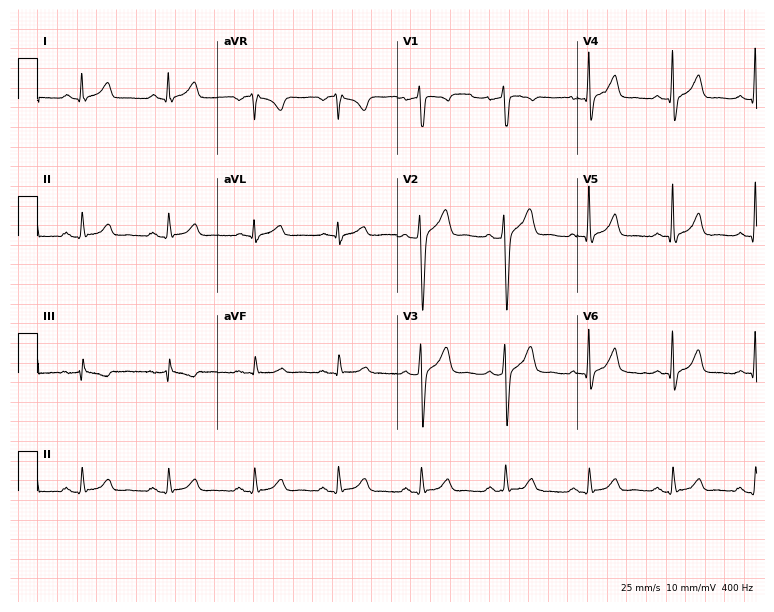
Resting 12-lead electrocardiogram. Patient: a 41-year-old male. Read as a normal ECG.